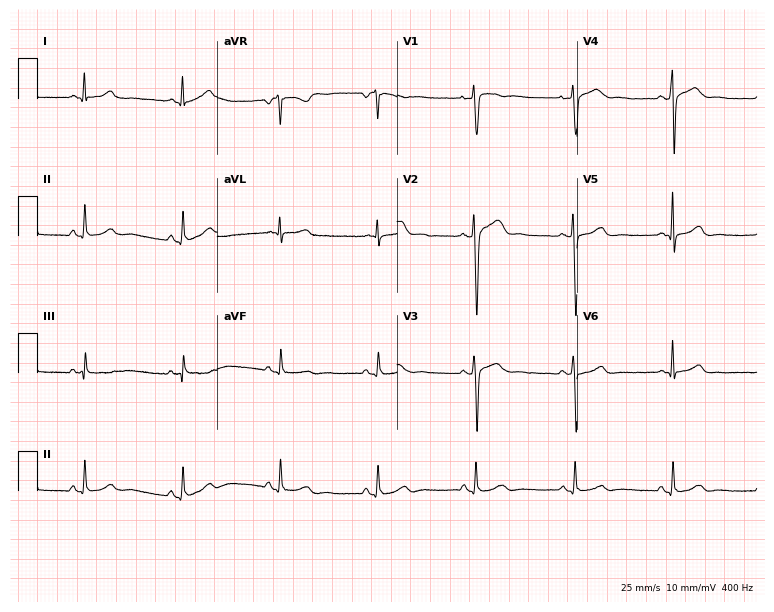
12-lead ECG from a male patient, 30 years old. Screened for six findings — first-degree AV block, right bundle branch block, left bundle branch block, sinus bradycardia, atrial fibrillation, sinus tachycardia — none is recorded. Other findings, if any, are not listed.